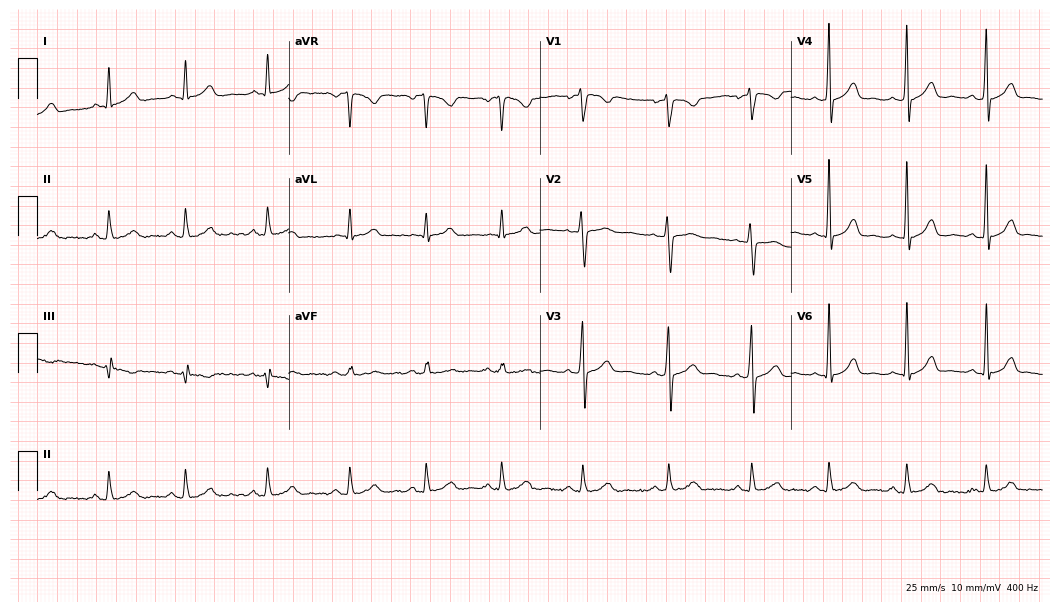
Electrocardiogram (10.2-second recording at 400 Hz), a 28-year-old woman. Overall reading on record: normal ECG.